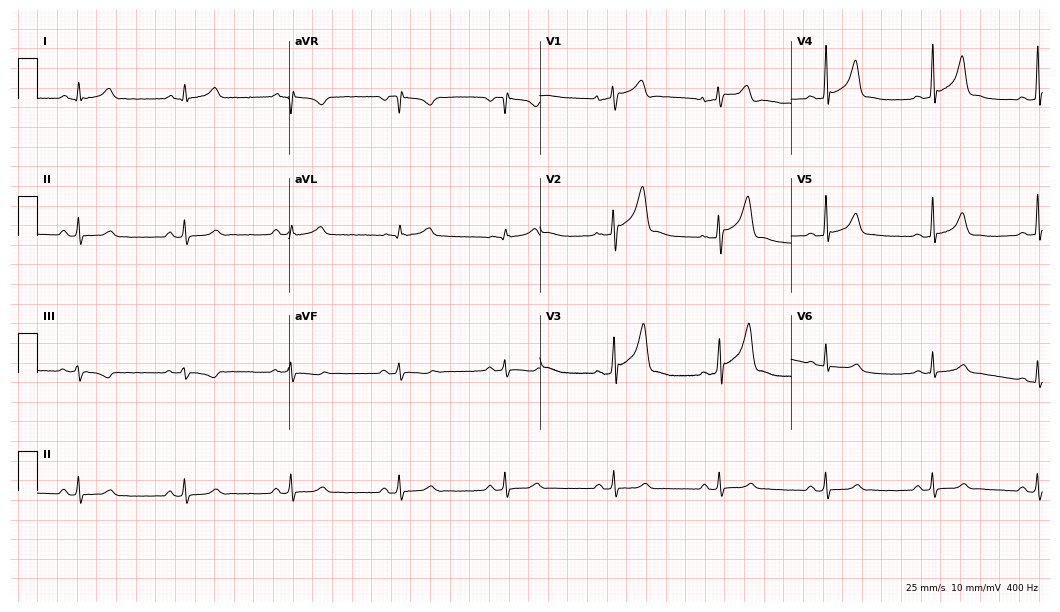
Standard 12-lead ECG recorded from a 42-year-old male (10.2-second recording at 400 Hz). Read as a normal ECG.